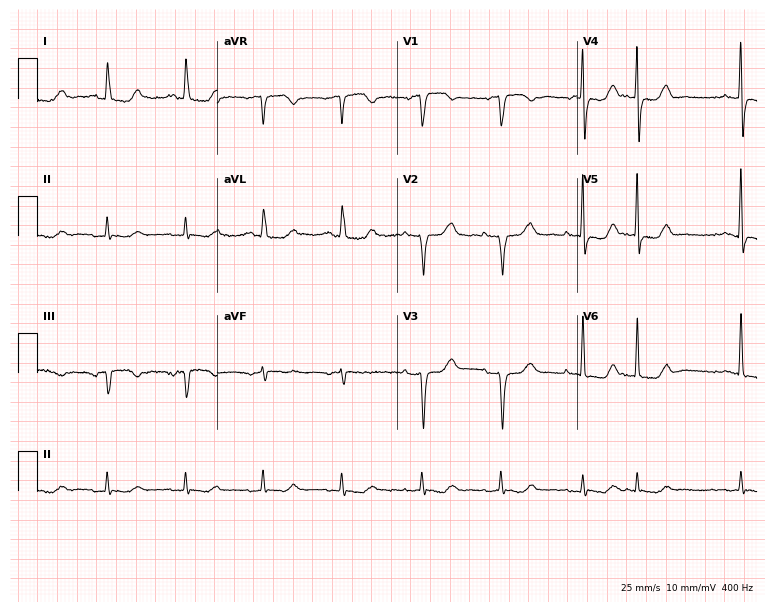
12-lead ECG from a 72-year-old female (7.3-second recording at 400 Hz). No first-degree AV block, right bundle branch block, left bundle branch block, sinus bradycardia, atrial fibrillation or sinus tachycardia recorded for this tracing.